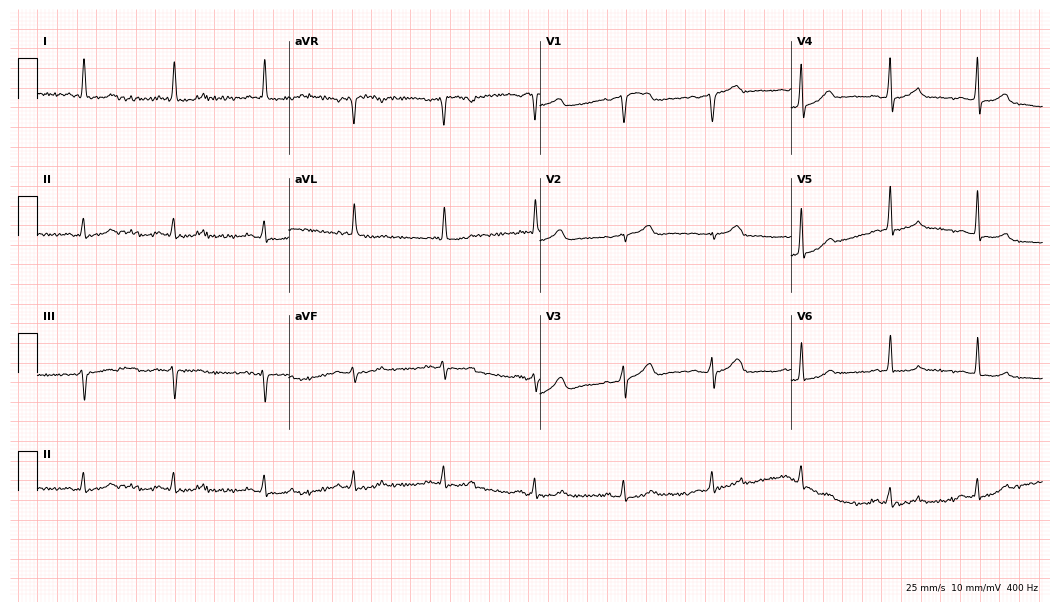
Electrocardiogram (10.2-second recording at 400 Hz), a male patient, 79 years old. Of the six screened findings (first-degree AV block, right bundle branch block (RBBB), left bundle branch block (LBBB), sinus bradycardia, atrial fibrillation (AF), sinus tachycardia), none is recorded. Only these six findings were labelled.